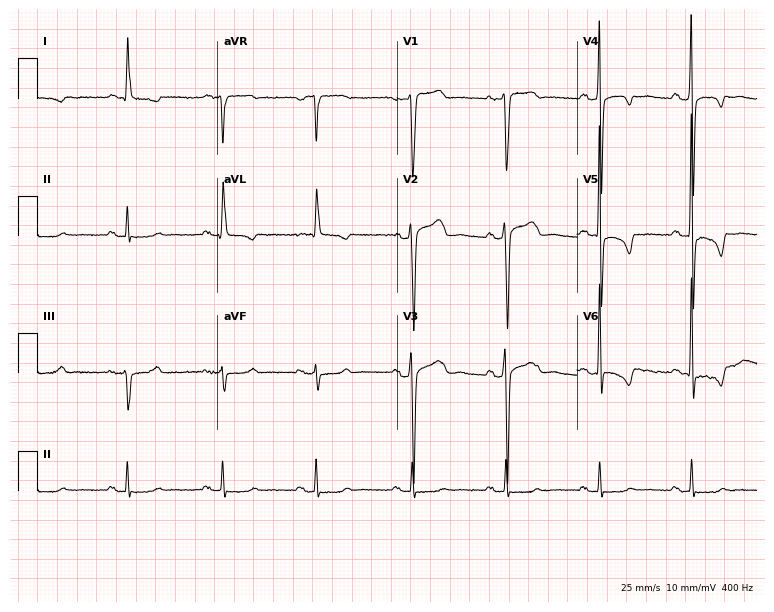
ECG — an 82-year-old man. Screened for six findings — first-degree AV block, right bundle branch block, left bundle branch block, sinus bradycardia, atrial fibrillation, sinus tachycardia — none is recorded.